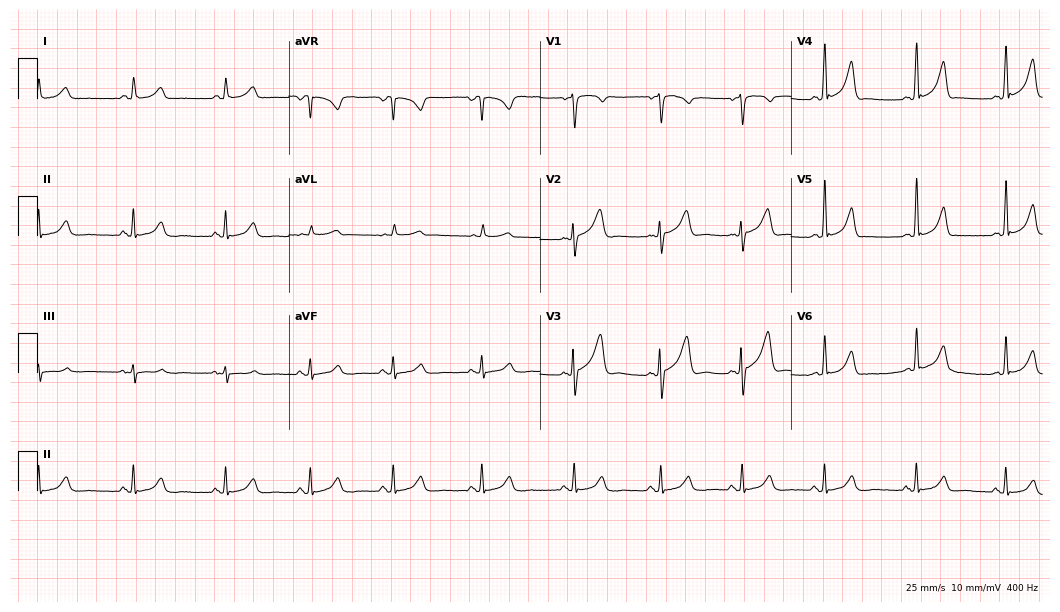
Resting 12-lead electrocardiogram (10.2-second recording at 400 Hz). Patient: a 49-year-old female. None of these six findings is recorded: first-degree AV block, right bundle branch block, left bundle branch block, sinus bradycardia, atrial fibrillation, sinus tachycardia. Other findings, if any, are not listed.